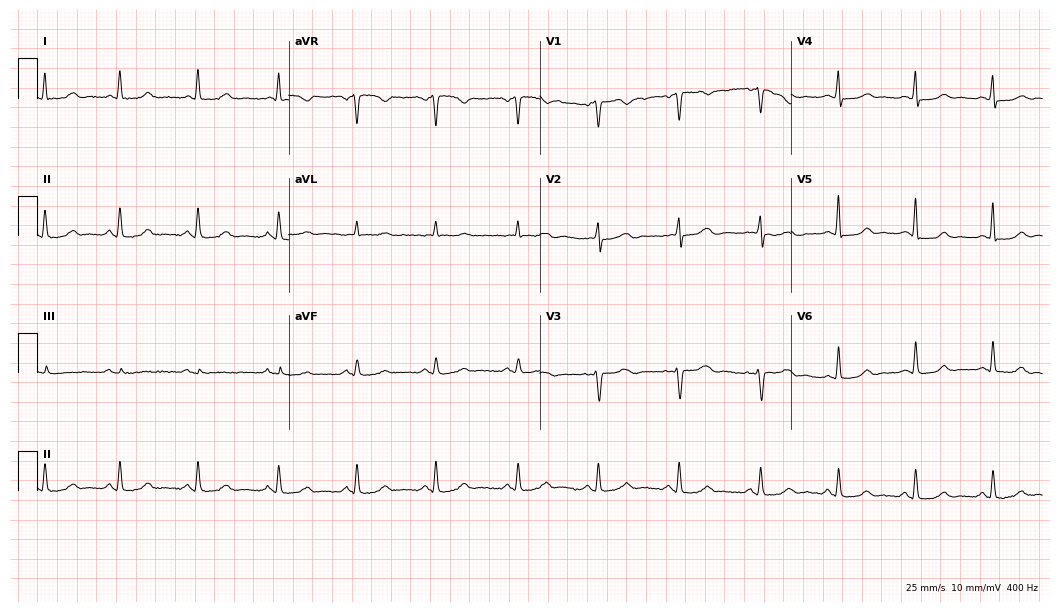
ECG — a 50-year-old woman. Labelled as a normal ECG.